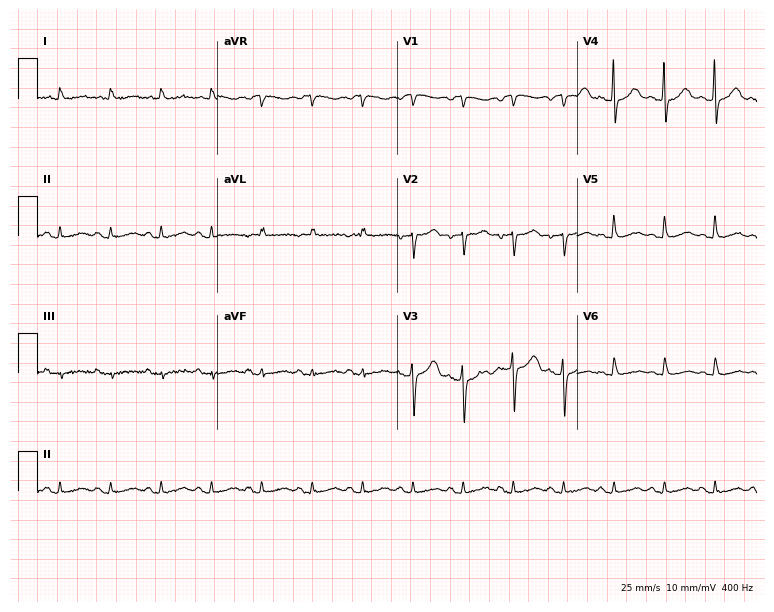
12-lead ECG from a male, 58 years old (7.3-second recording at 400 Hz). Shows sinus tachycardia (a sinus rate of 100 beats per minute or more).